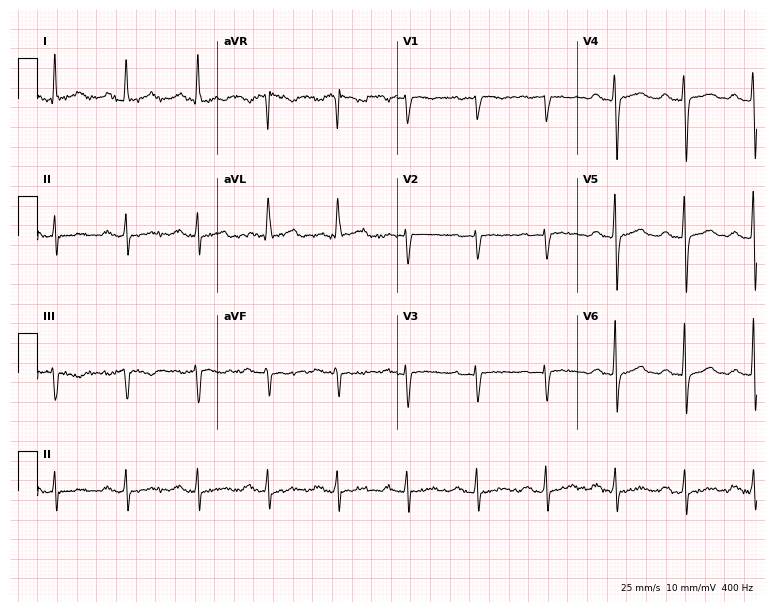
12-lead ECG (7.3-second recording at 400 Hz) from a female patient, 63 years old. Findings include first-degree AV block.